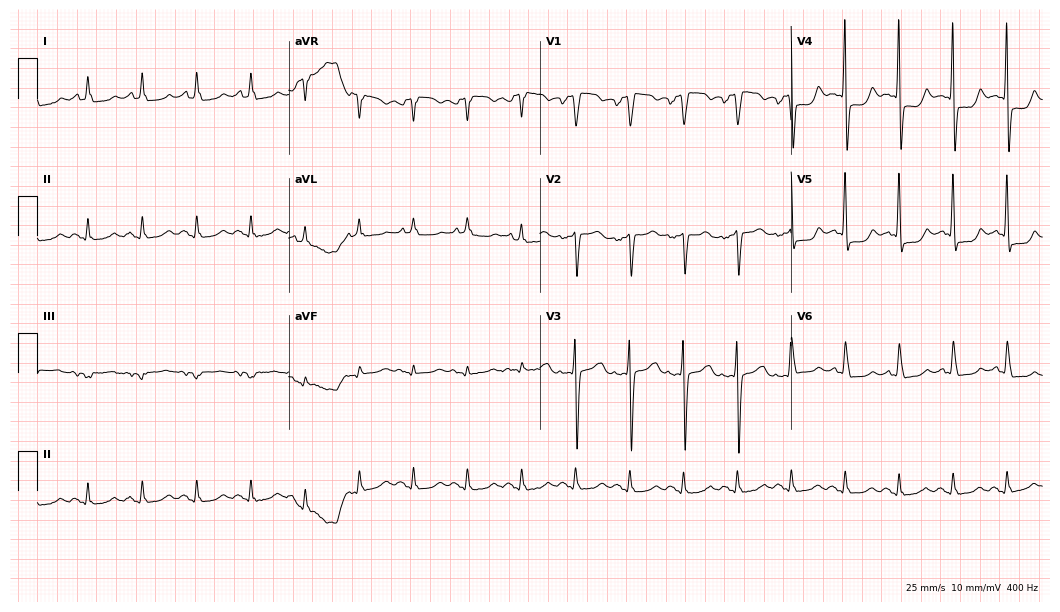
Standard 12-lead ECG recorded from a man, 69 years old. The tracing shows sinus tachycardia (a sinus rate of 100 beats per minute or more).